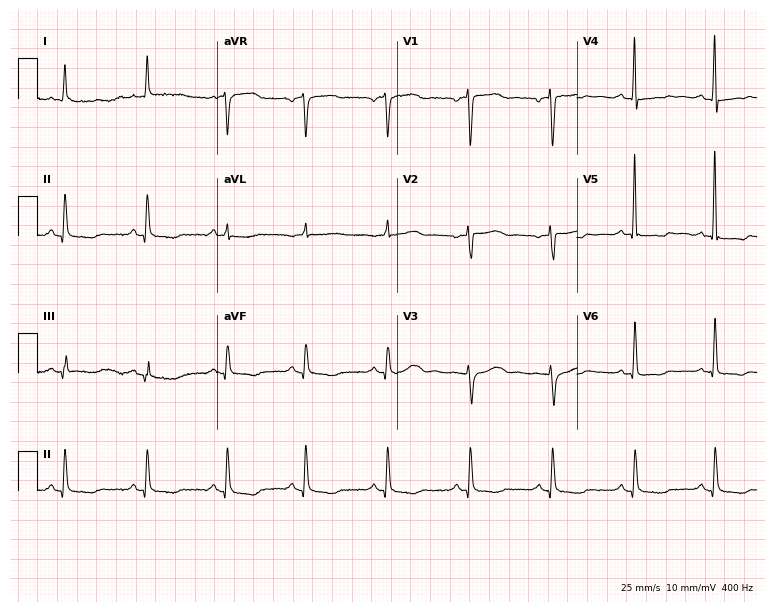
ECG (7.3-second recording at 400 Hz) — a 75-year-old woman. Screened for six findings — first-degree AV block, right bundle branch block, left bundle branch block, sinus bradycardia, atrial fibrillation, sinus tachycardia — none is recorded. Other findings, if any, are not listed.